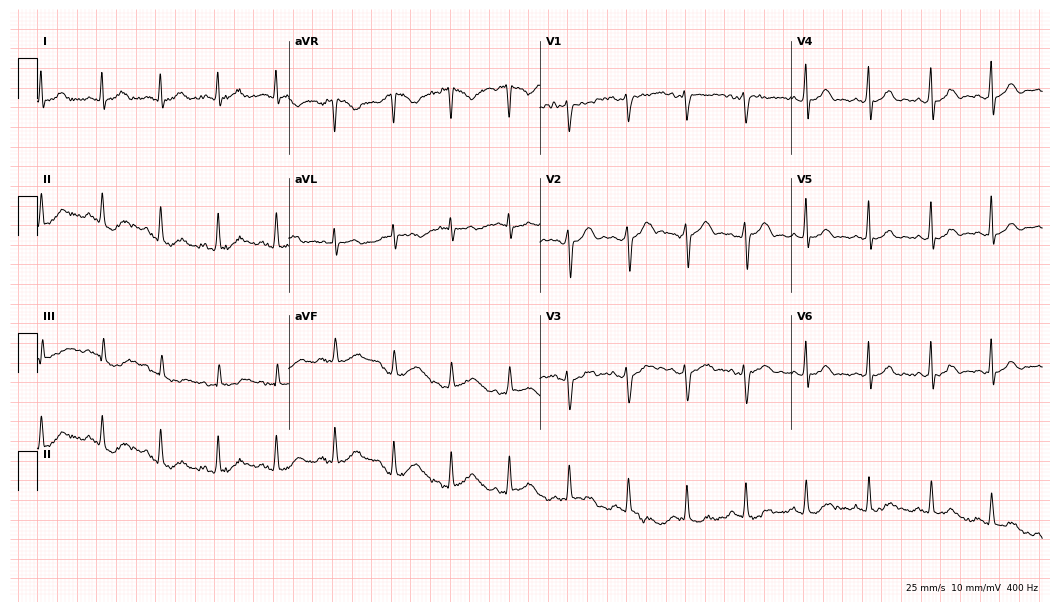
ECG (10.2-second recording at 400 Hz) — a woman, 48 years old. Screened for six findings — first-degree AV block, right bundle branch block (RBBB), left bundle branch block (LBBB), sinus bradycardia, atrial fibrillation (AF), sinus tachycardia — none is recorded. Other findings, if any, are not listed.